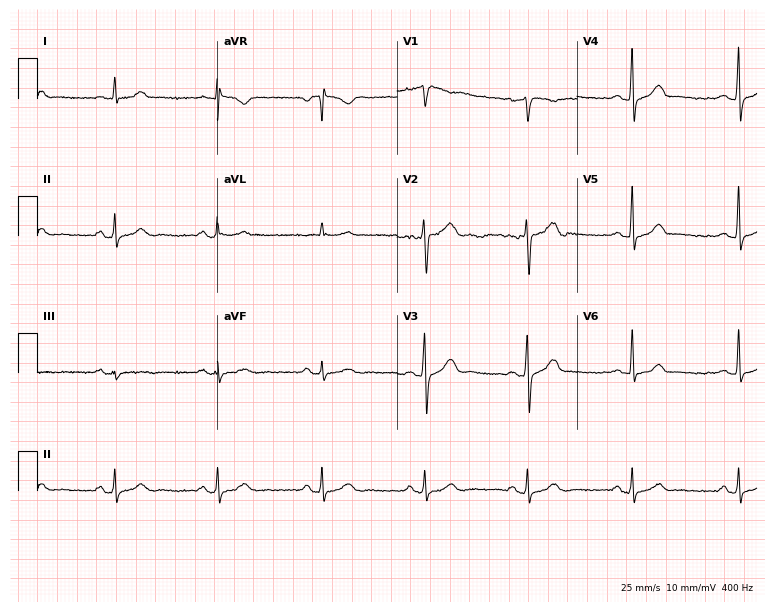
Resting 12-lead electrocardiogram. Patient: a 52-year-old man. Read as a normal ECG.